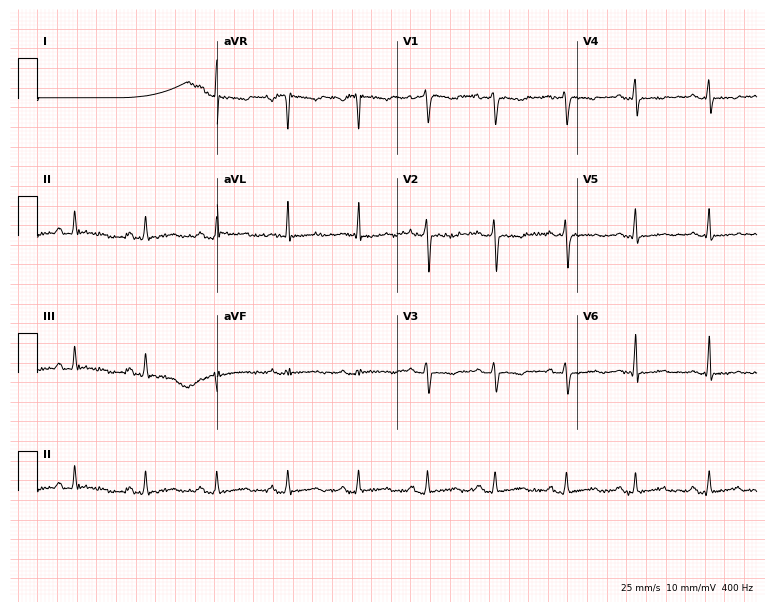
12-lead ECG (7.3-second recording at 400 Hz) from a 44-year-old female. Screened for six findings — first-degree AV block, right bundle branch block, left bundle branch block, sinus bradycardia, atrial fibrillation, sinus tachycardia — none is recorded.